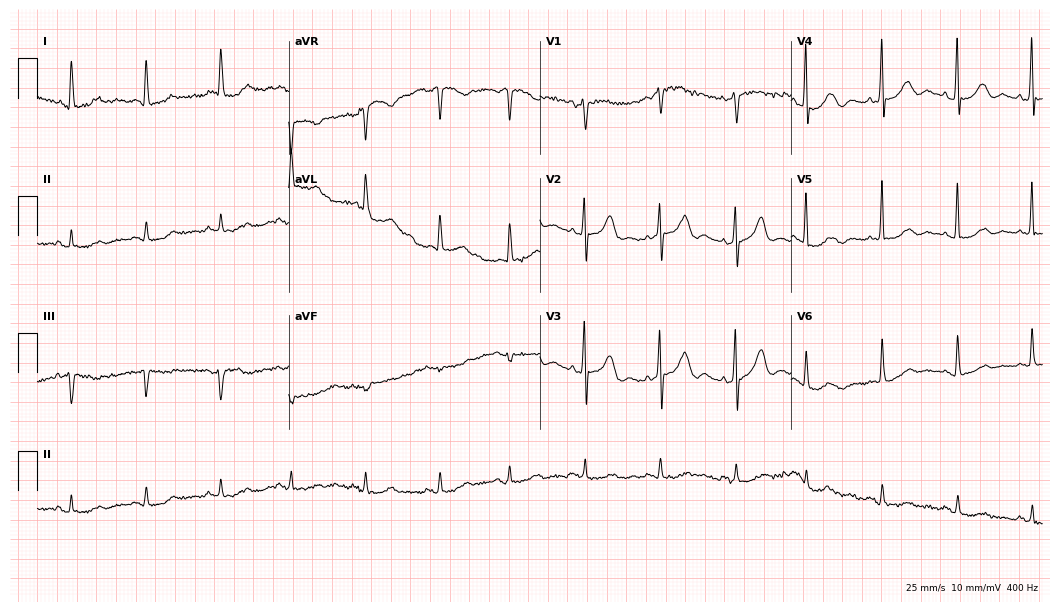
ECG (10.2-second recording at 400 Hz) — a female, 85 years old. Screened for six findings — first-degree AV block, right bundle branch block (RBBB), left bundle branch block (LBBB), sinus bradycardia, atrial fibrillation (AF), sinus tachycardia — none is recorded.